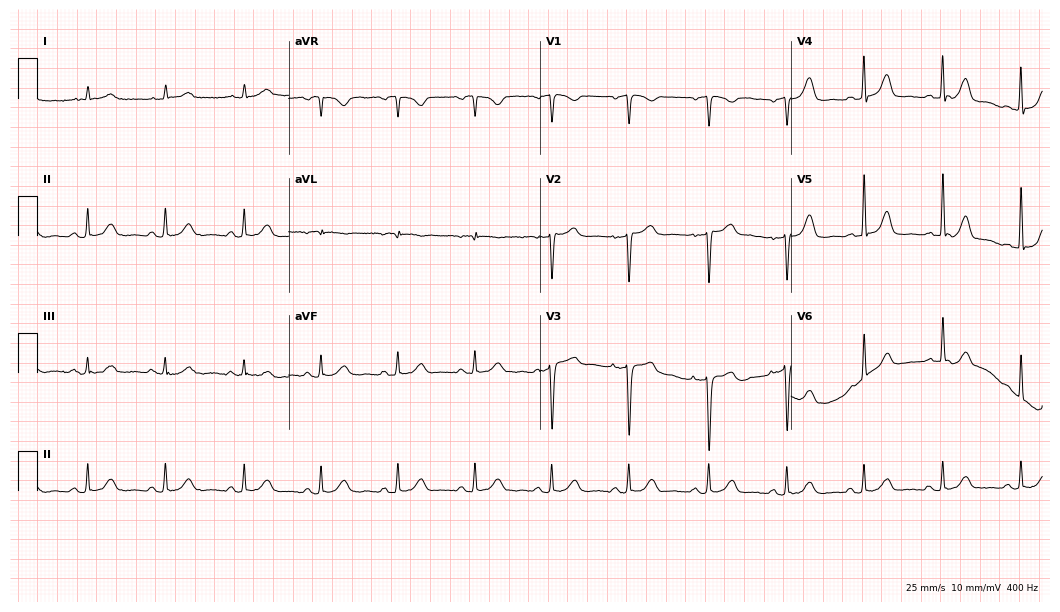
ECG (10.2-second recording at 400 Hz) — a female, 70 years old. Labelled as a normal ECG.